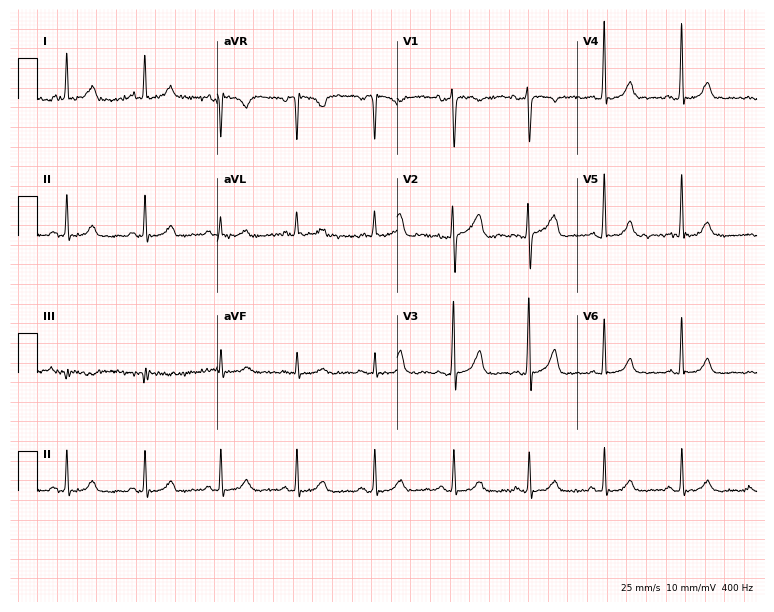
ECG — a 41-year-old woman. Labelled as a normal ECG.